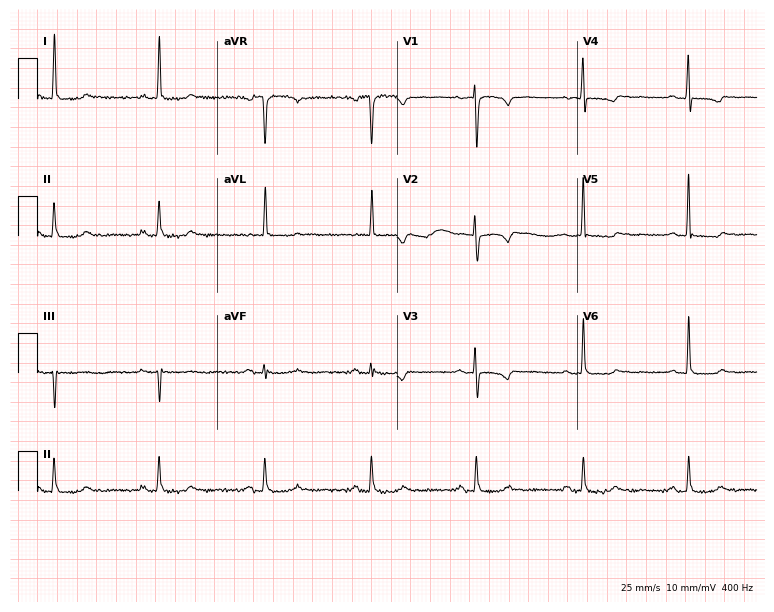
Standard 12-lead ECG recorded from a 68-year-old female (7.3-second recording at 400 Hz). None of these six findings is recorded: first-degree AV block, right bundle branch block (RBBB), left bundle branch block (LBBB), sinus bradycardia, atrial fibrillation (AF), sinus tachycardia.